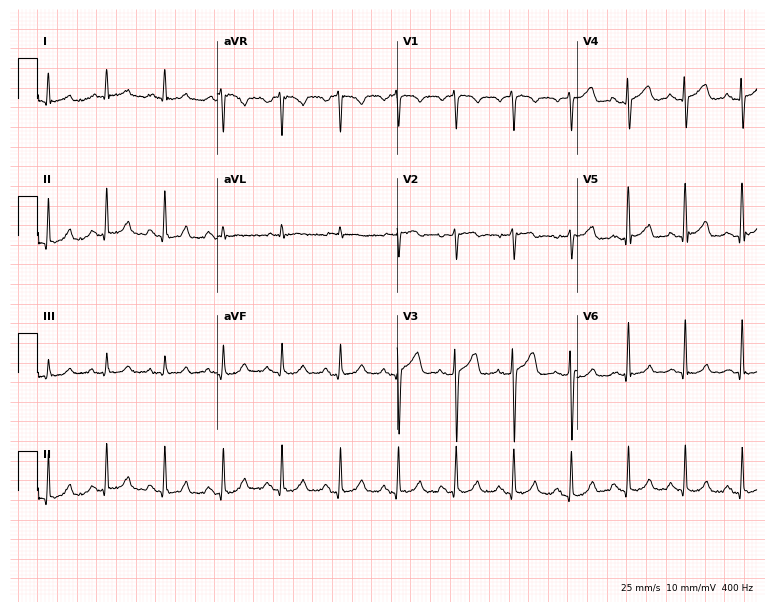
Standard 12-lead ECG recorded from a 65-year-old male patient (7.3-second recording at 400 Hz). The tracing shows sinus tachycardia (a sinus rate of 100 beats per minute or more).